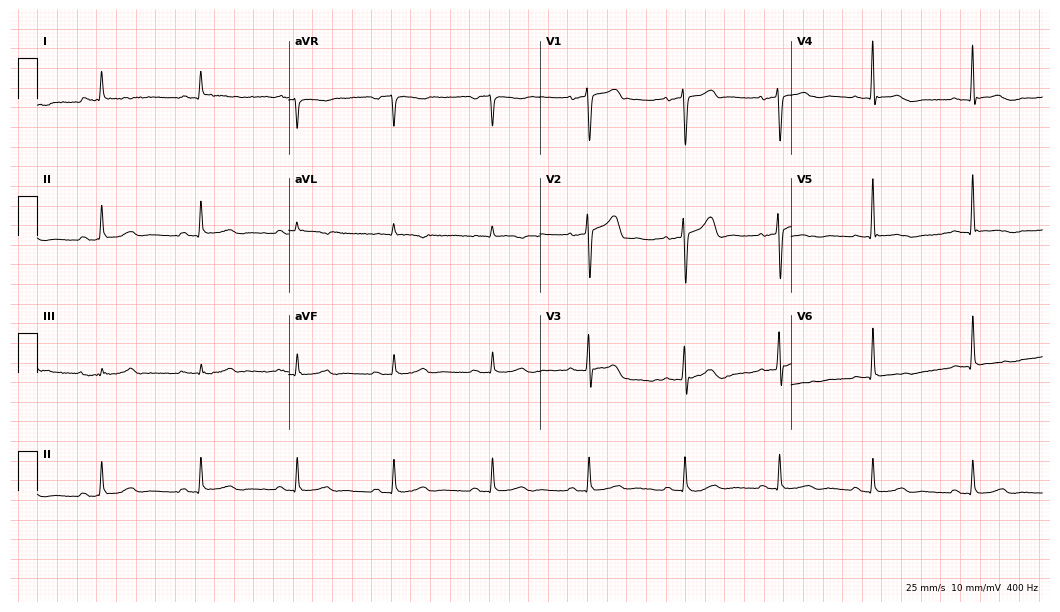
Resting 12-lead electrocardiogram (10.2-second recording at 400 Hz). Patient: a 54-year-old male. None of these six findings is recorded: first-degree AV block, right bundle branch block, left bundle branch block, sinus bradycardia, atrial fibrillation, sinus tachycardia.